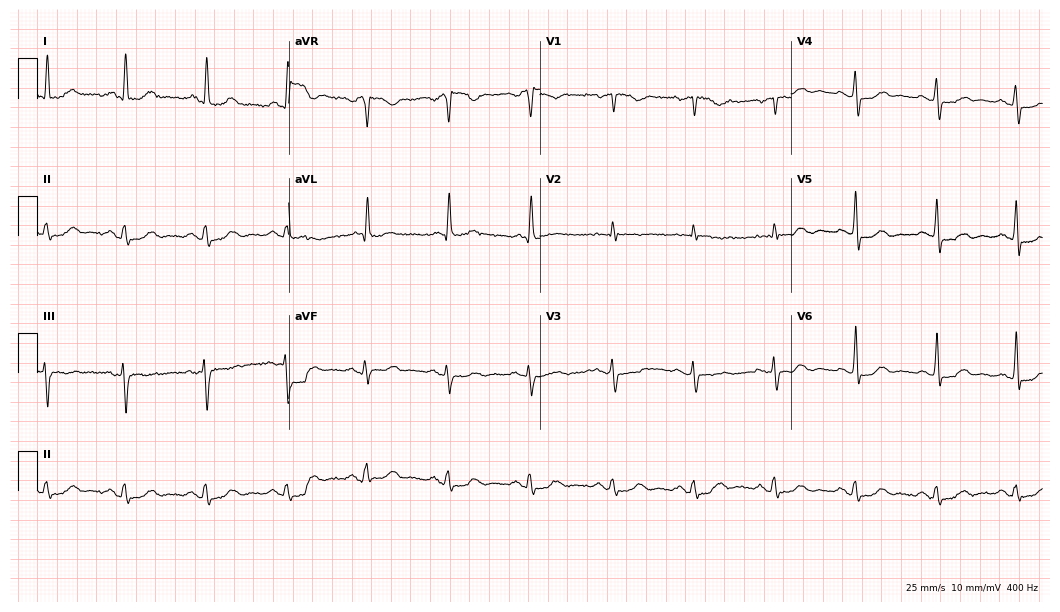
12-lead ECG from an 81-year-old woman. Recorded interpretation: within normal limits.